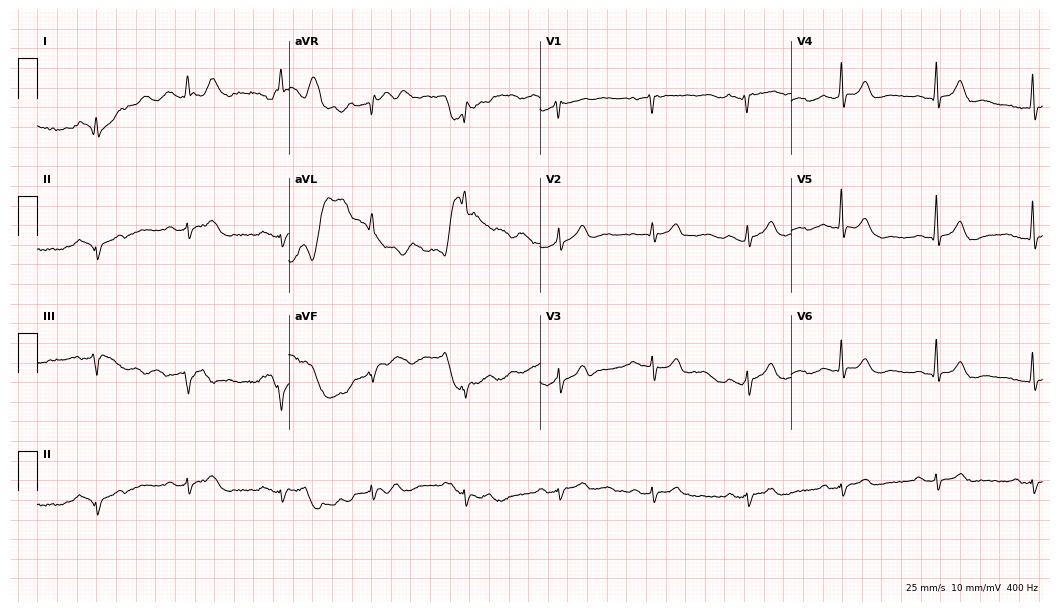
12-lead ECG from an 87-year-old male patient (10.2-second recording at 400 Hz). No first-degree AV block, right bundle branch block, left bundle branch block, sinus bradycardia, atrial fibrillation or sinus tachycardia recorded for this tracing. Other findings, if any, are not listed.